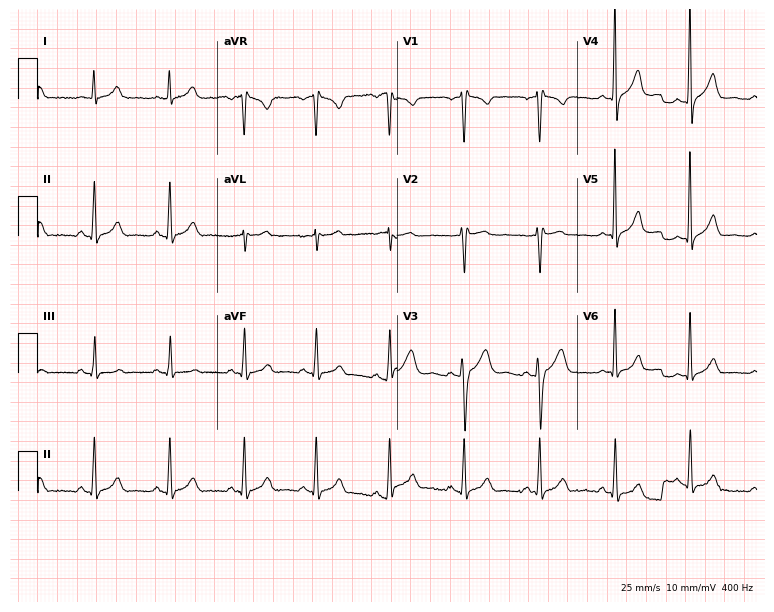
Resting 12-lead electrocardiogram (7.3-second recording at 400 Hz). Patient: a 36-year-old man. Read as a normal ECG.